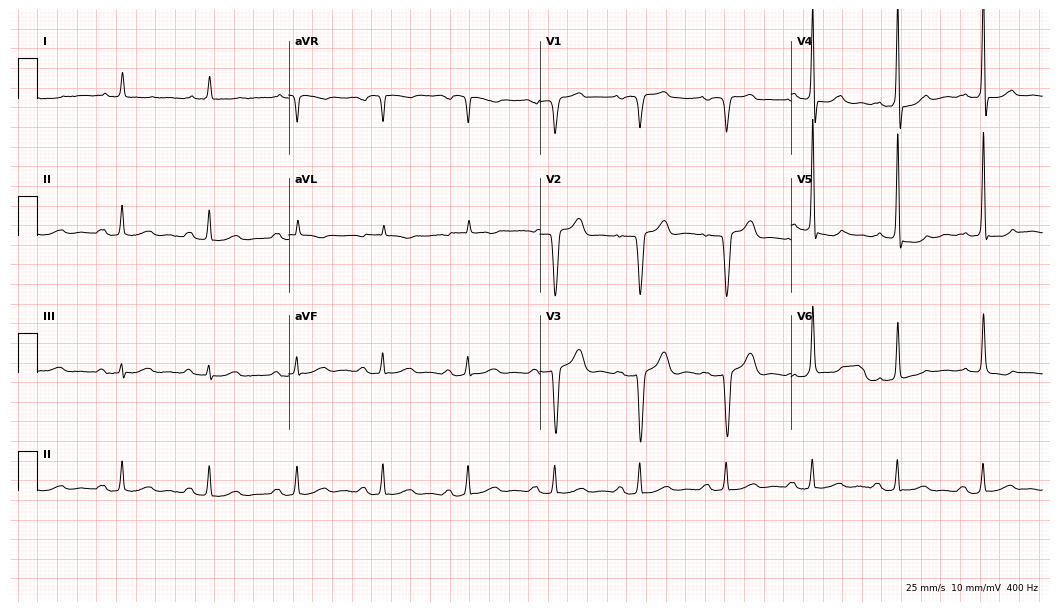
Resting 12-lead electrocardiogram (10.2-second recording at 400 Hz). Patient: a male, 85 years old. None of these six findings is recorded: first-degree AV block, right bundle branch block, left bundle branch block, sinus bradycardia, atrial fibrillation, sinus tachycardia. Only these six findings were labelled.